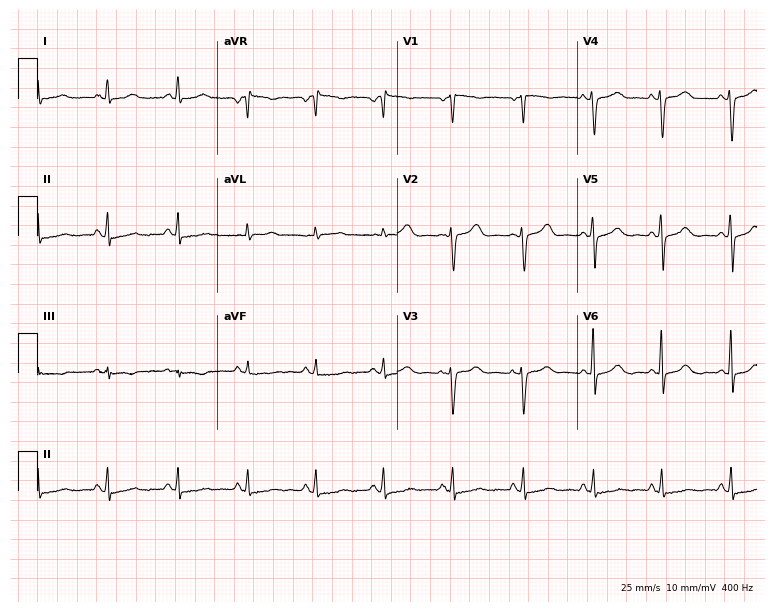
Resting 12-lead electrocardiogram (7.3-second recording at 400 Hz). Patient: a female, 50 years old. None of these six findings is recorded: first-degree AV block, right bundle branch block (RBBB), left bundle branch block (LBBB), sinus bradycardia, atrial fibrillation (AF), sinus tachycardia.